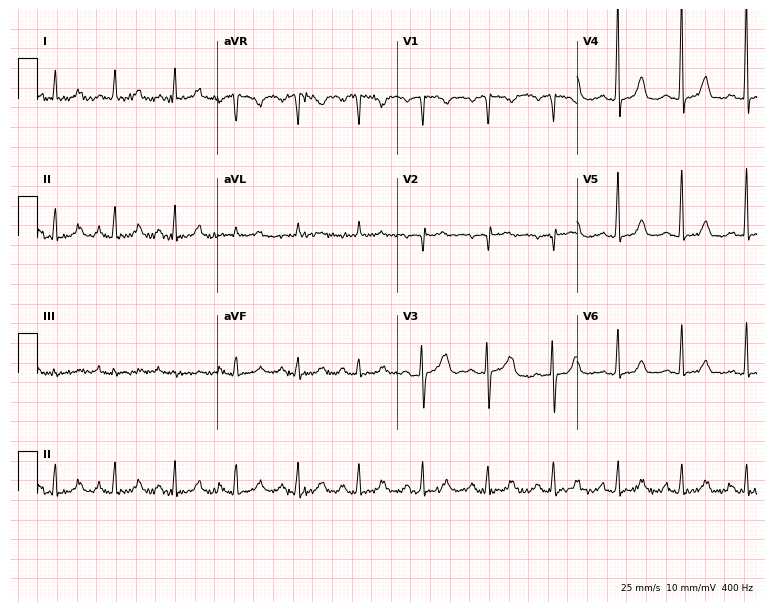
Resting 12-lead electrocardiogram (7.3-second recording at 400 Hz). Patient: a female, 46 years old. Read as a normal ECG.